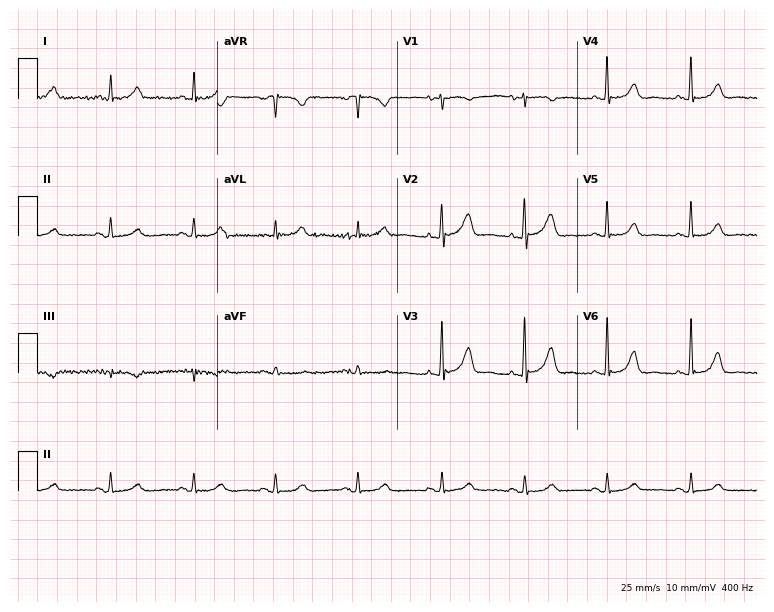
Standard 12-lead ECG recorded from a 73-year-old female (7.3-second recording at 400 Hz). Read as a normal ECG.